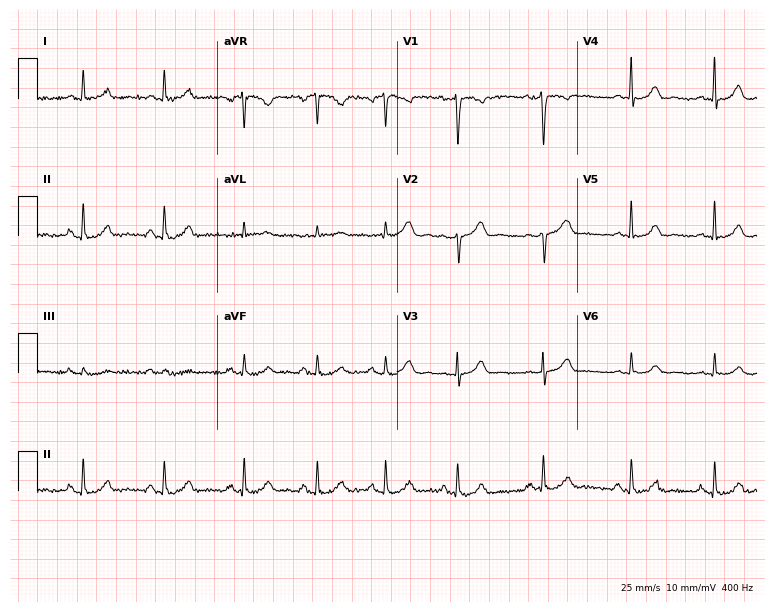
Resting 12-lead electrocardiogram (7.3-second recording at 400 Hz). Patient: a female, 37 years old. None of these six findings is recorded: first-degree AV block, right bundle branch block, left bundle branch block, sinus bradycardia, atrial fibrillation, sinus tachycardia. Findings outside these six are not listed.